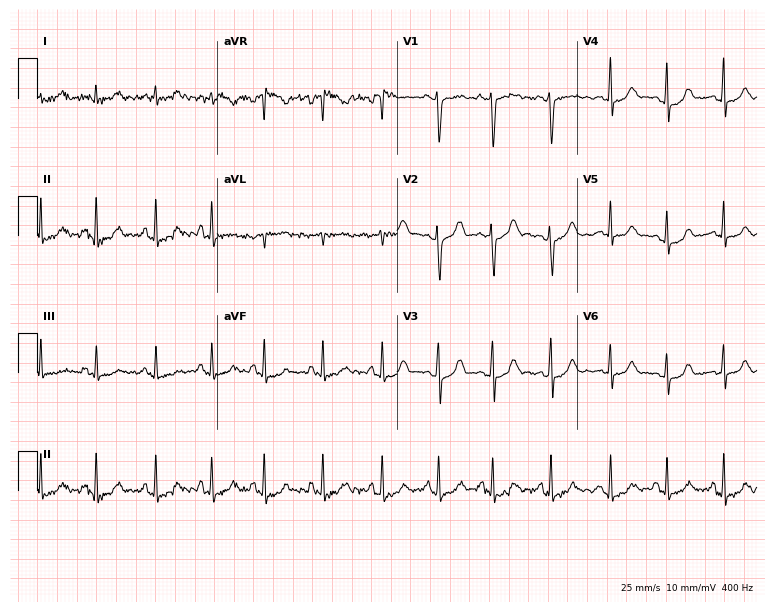
Standard 12-lead ECG recorded from a female patient, 18 years old. The tracing shows sinus tachycardia (a sinus rate of 100 beats per minute or more).